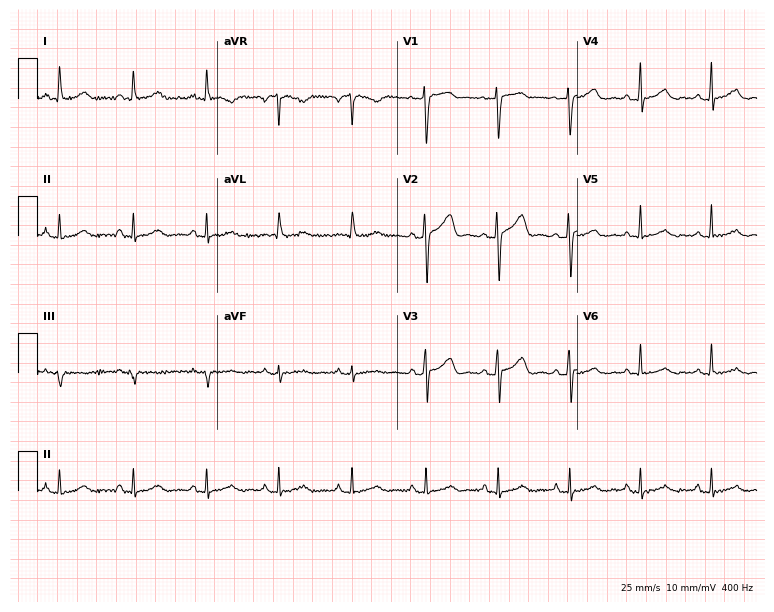
12-lead ECG from a 64-year-old woman. Recorded interpretation: within normal limits.